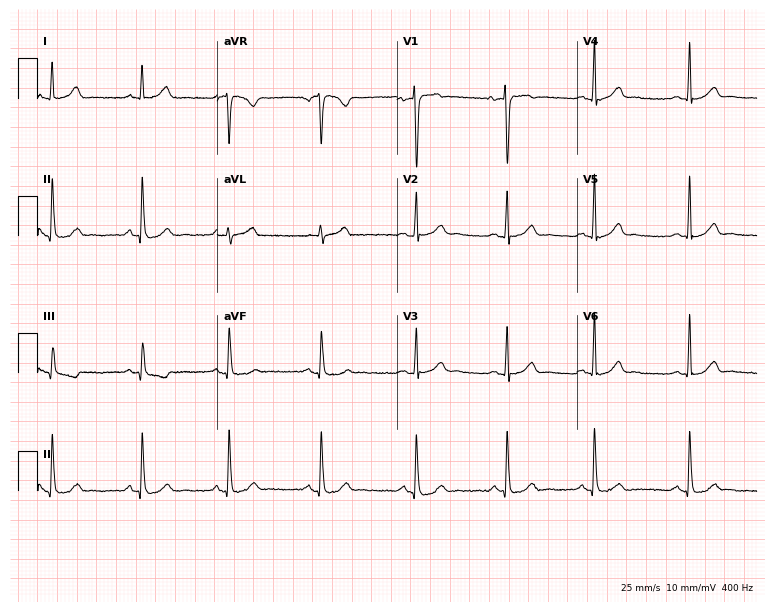
Electrocardiogram, a 41-year-old female patient. Overall reading on record: normal ECG.